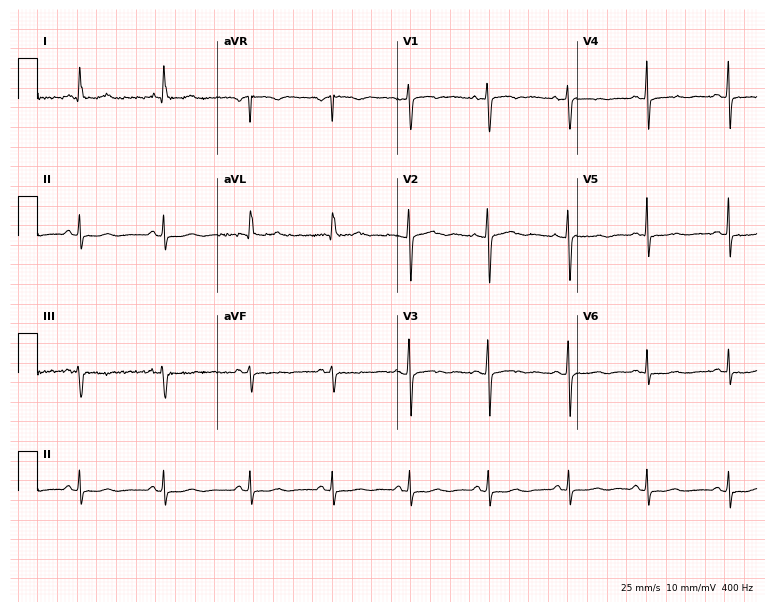
12-lead ECG from a 42-year-old female. Labelled as a normal ECG.